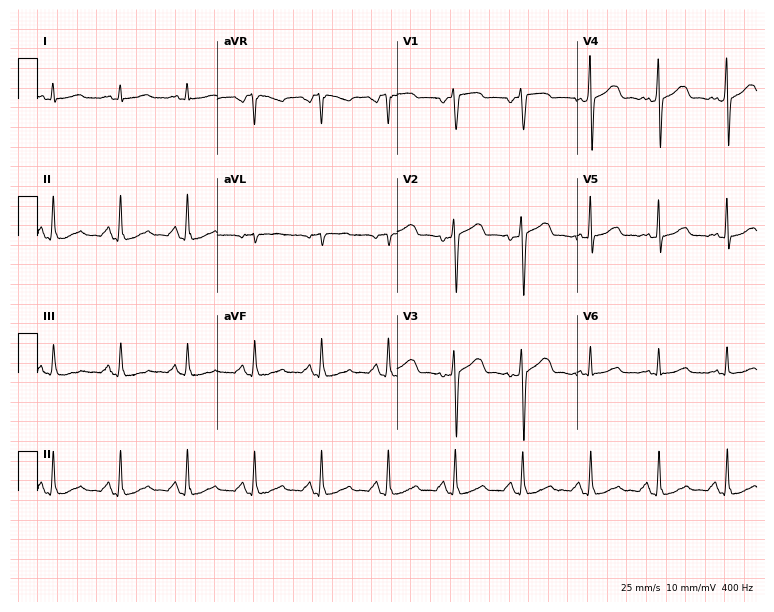
ECG — a 42-year-old male patient. Labelled as a normal ECG.